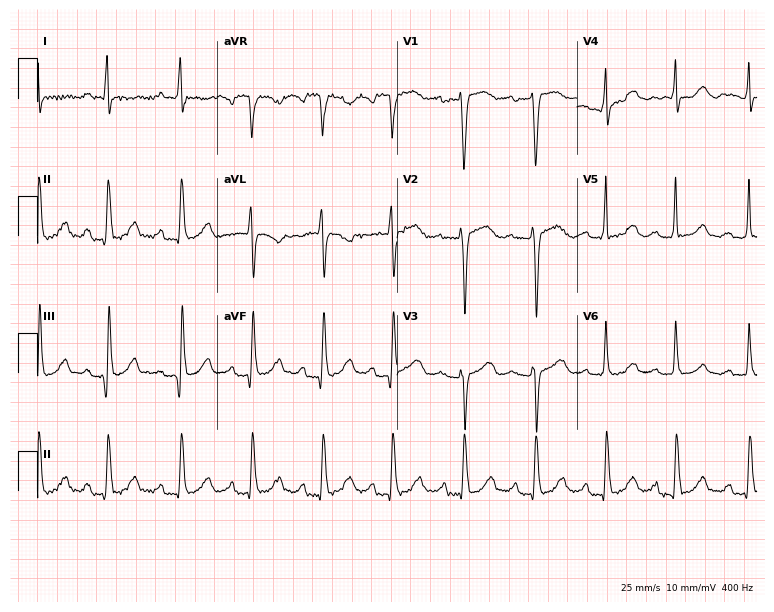
12-lead ECG from a female patient, 56 years old (7.3-second recording at 400 Hz). Shows first-degree AV block.